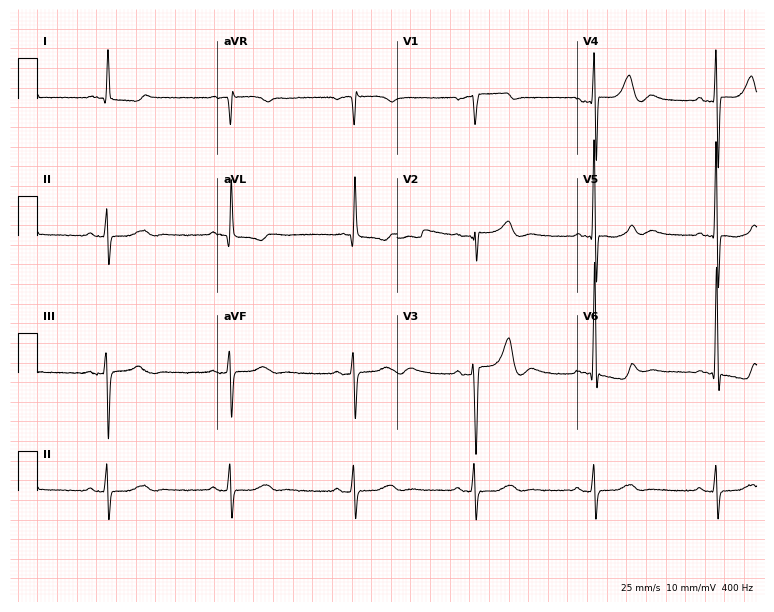
ECG — a 78-year-old female patient. Findings include sinus bradycardia (a sinus rate of 50 beats per minute or less).